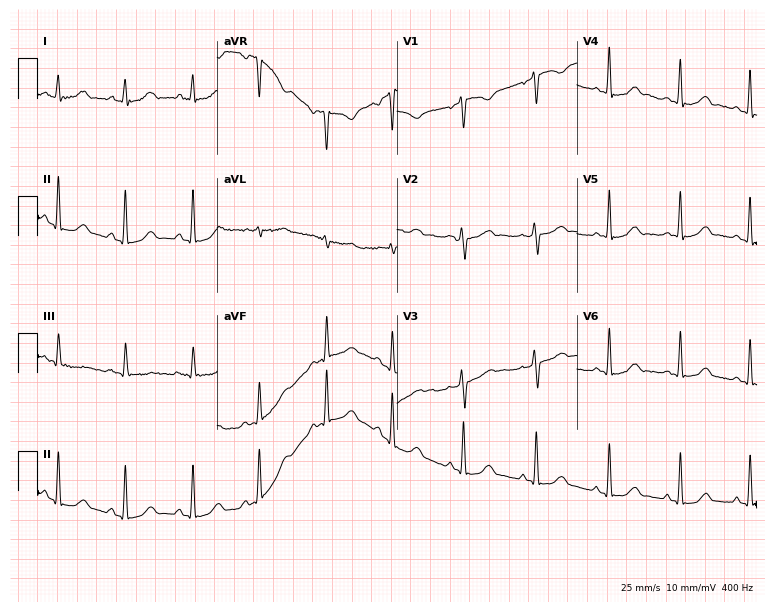
ECG — a 29-year-old woman. Screened for six findings — first-degree AV block, right bundle branch block (RBBB), left bundle branch block (LBBB), sinus bradycardia, atrial fibrillation (AF), sinus tachycardia — none is recorded. Other findings, if any, are not listed.